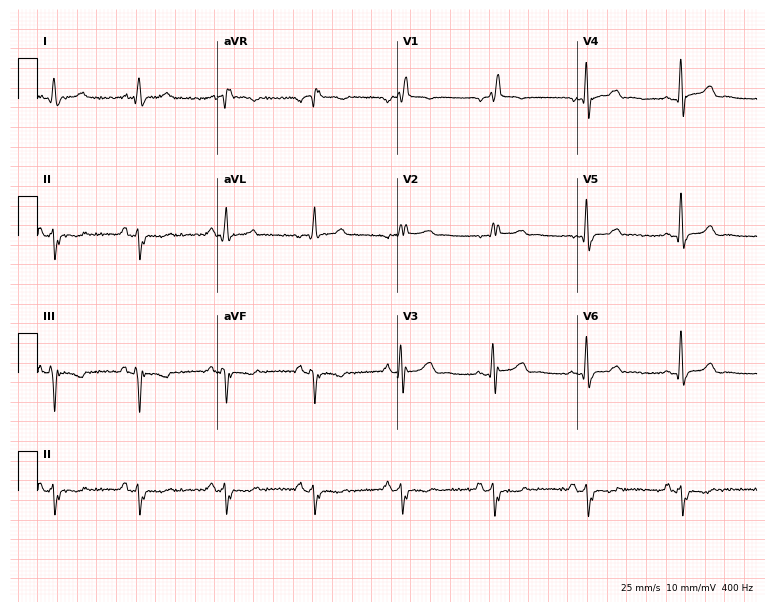
Electrocardiogram, a man, 68 years old. Interpretation includes right bundle branch block (RBBB).